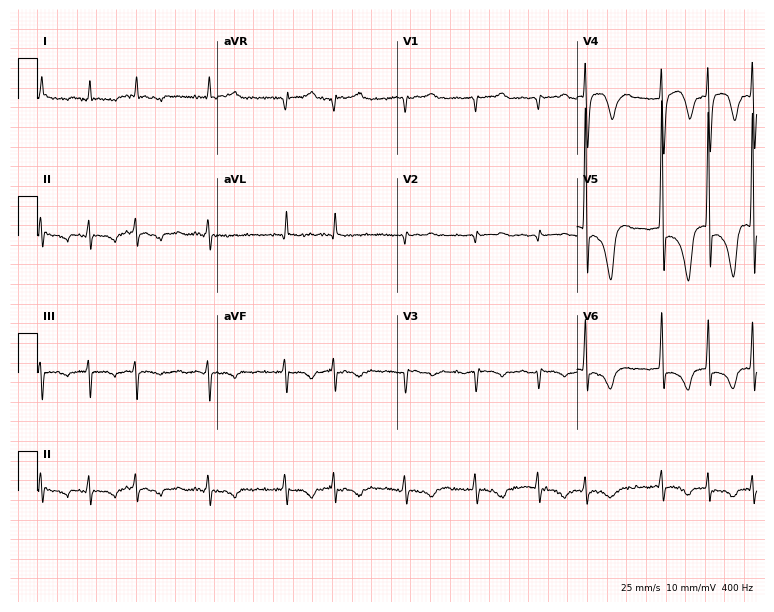
12-lead ECG from a female, 82 years old. Shows atrial fibrillation (AF).